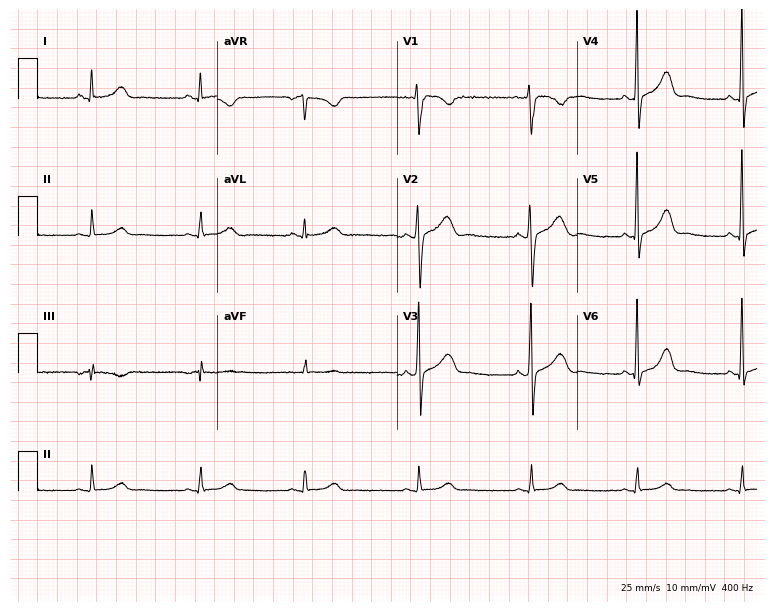
12-lead ECG from a 30-year-old female. Screened for six findings — first-degree AV block, right bundle branch block, left bundle branch block, sinus bradycardia, atrial fibrillation, sinus tachycardia — none is recorded. Findings outside these six are not listed.